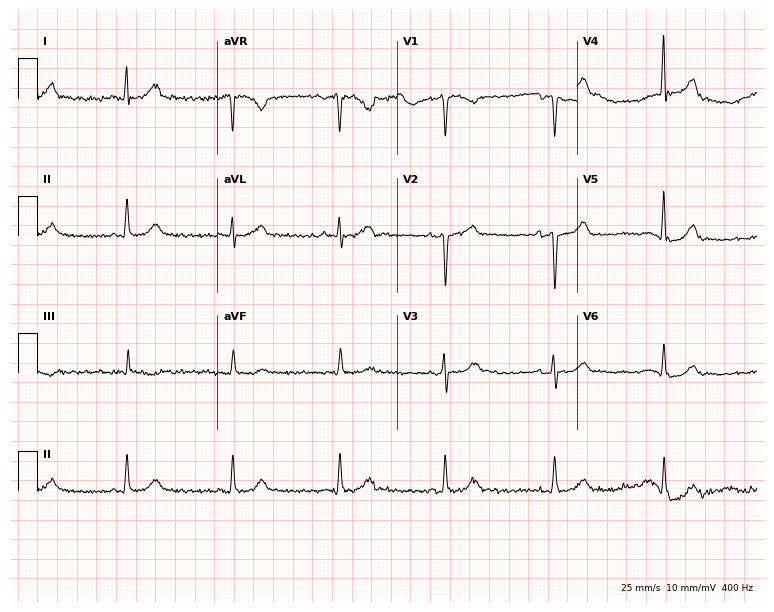
Resting 12-lead electrocardiogram. Patient: a male, 45 years old. None of these six findings is recorded: first-degree AV block, right bundle branch block, left bundle branch block, sinus bradycardia, atrial fibrillation, sinus tachycardia.